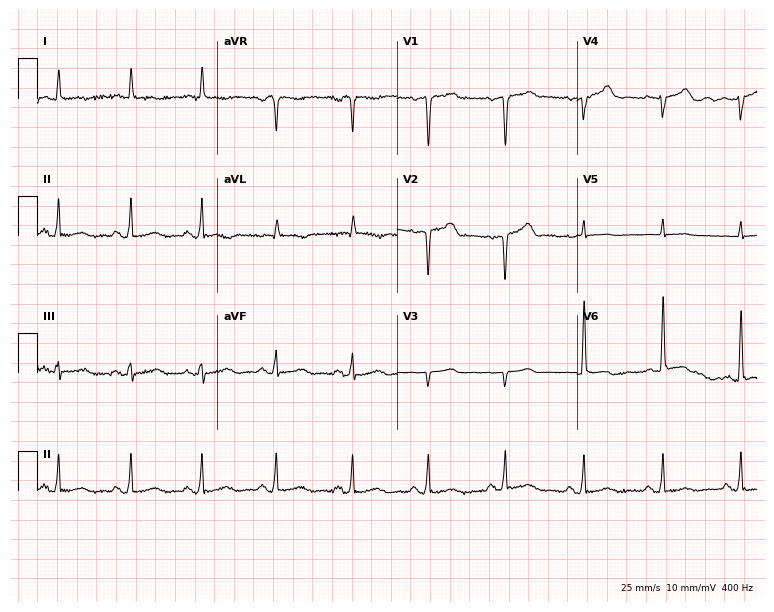
ECG (7.3-second recording at 400 Hz) — a 69-year-old man. Screened for six findings — first-degree AV block, right bundle branch block, left bundle branch block, sinus bradycardia, atrial fibrillation, sinus tachycardia — none is recorded.